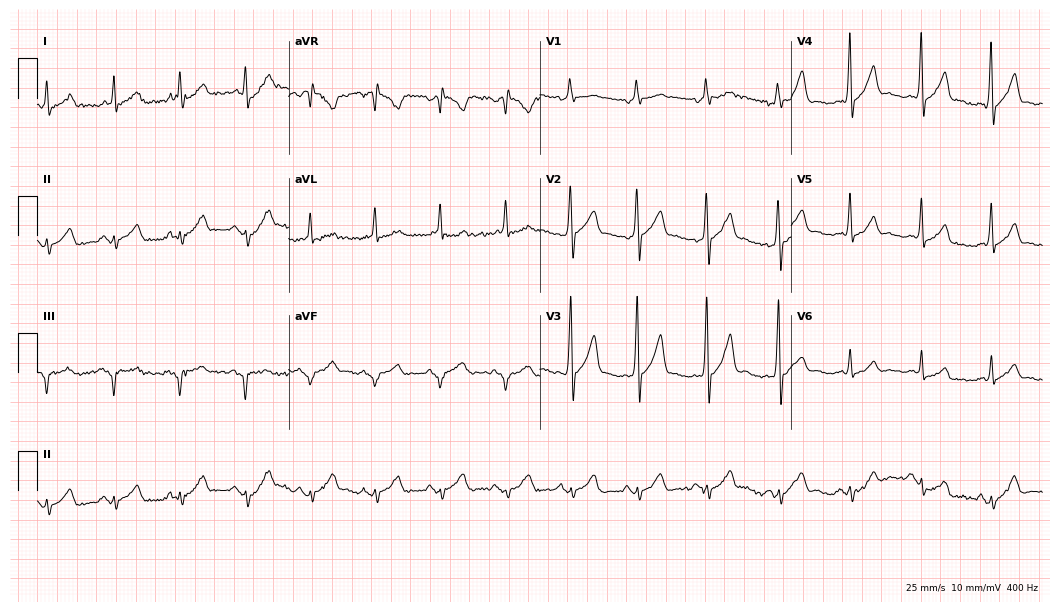
Standard 12-lead ECG recorded from a 47-year-old male. None of these six findings is recorded: first-degree AV block, right bundle branch block (RBBB), left bundle branch block (LBBB), sinus bradycardia, atrial fibrillation (AF), sinus tachycardia. Only these six findings were labelled.